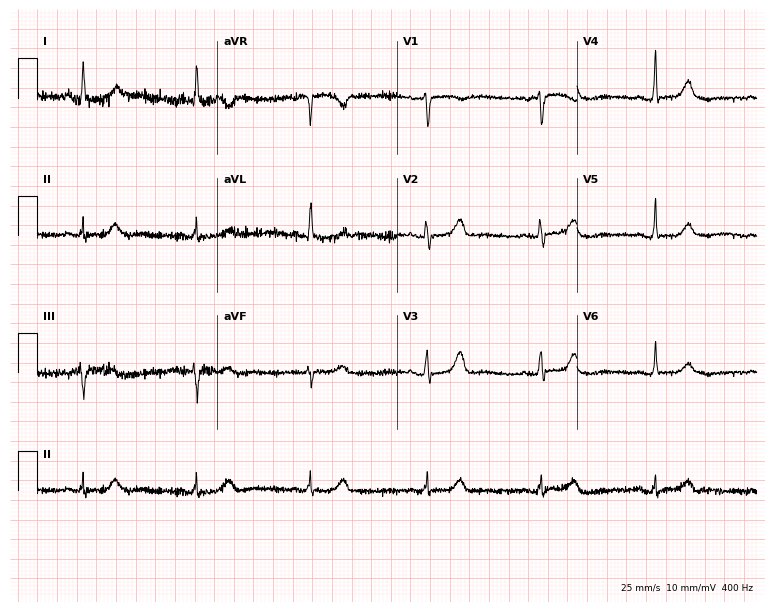
Resting 12-lead electrocardiogram (7.3-second recording at 400 Hz). Patient: a woman, 74 years old. None of these six findings is recorded: first-degree AV block, right bundle branch block, left bundle branch block, sinus bradycardia, atrial fibrillation, sinus tachycardia.